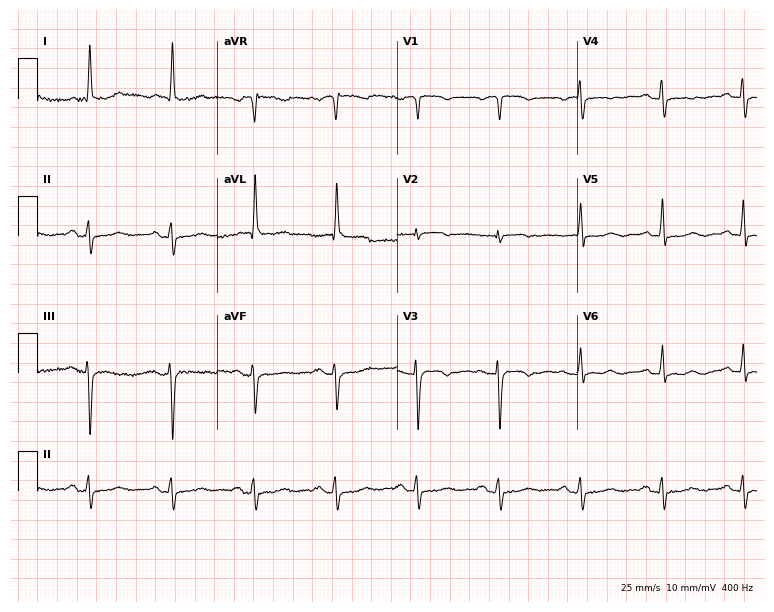
12-lead ECG from a female, 80 years old. Screened for six findings — first-degree AV block, right bundle branch block, left bundle branch block, sinus bradycardia, atrial fibrillation, sinus tachycardia — none is recorded. Only these six findings were labelled.